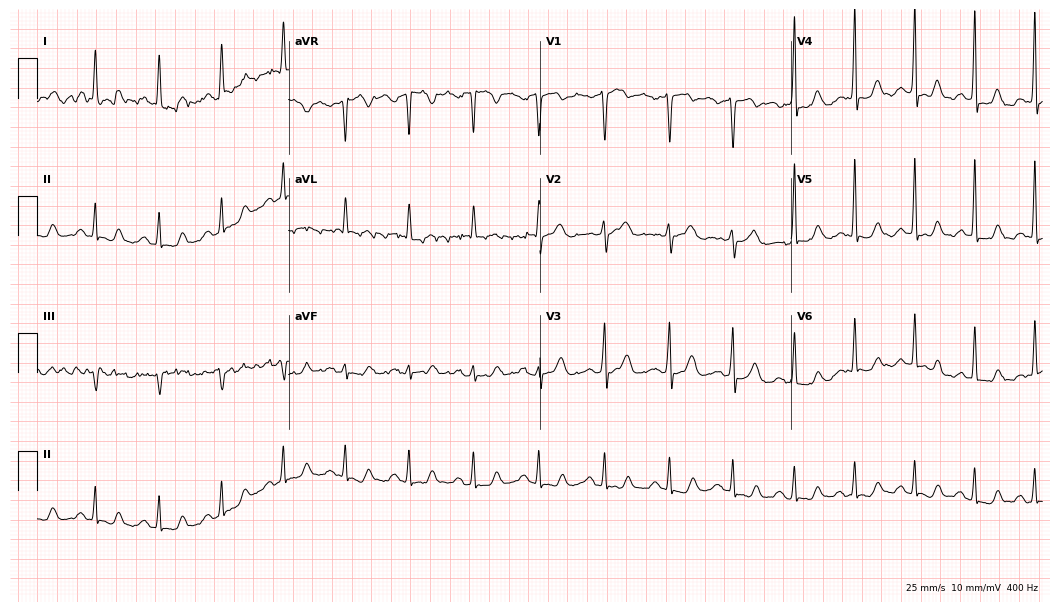
12-lead ECG from a female, 46 years old. No first-degree AV block, right bundle branch block, left bundle branch block, sinus bradycardia, atrial fibrillation or sinus tachycardia recorded for this tracing.